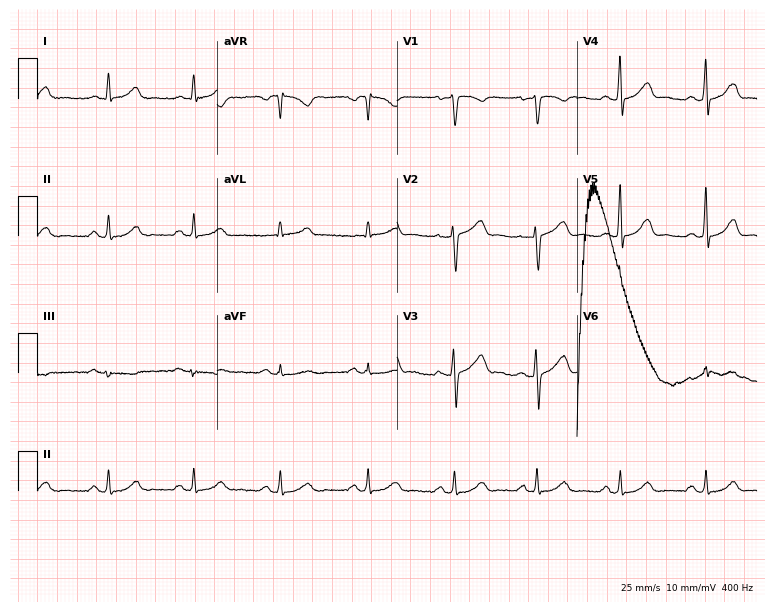
ECG — a 43-year-old male. Screened for six findings — first-degree AV block, right bundle branch block, left bundle branch block, sinus bradycardia, atrial fibrillation, sinus tachycardia — none is recorded. Findings outside these six are not listed.